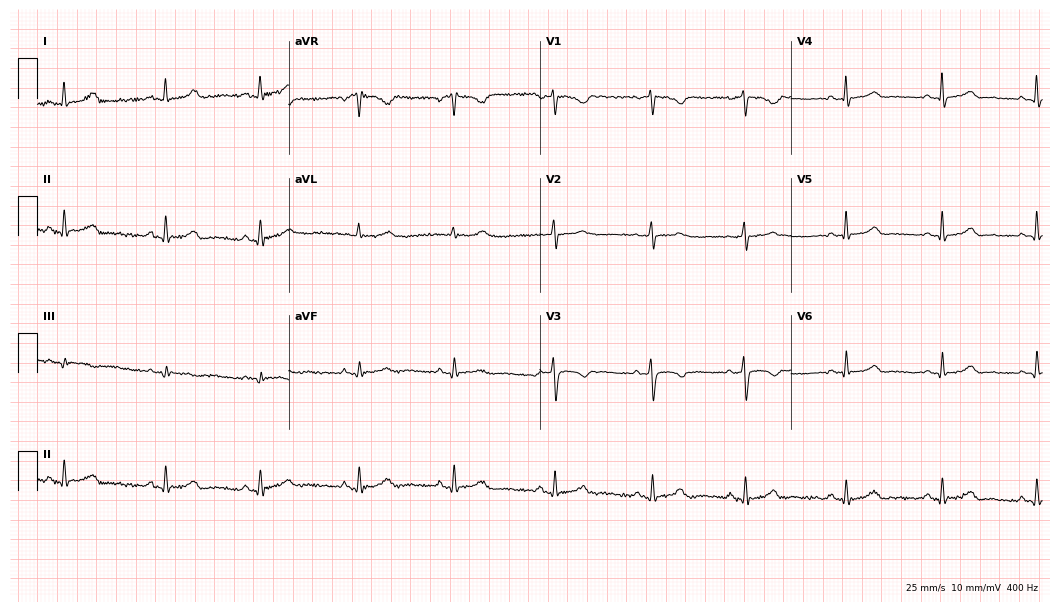
Resting 12-lead electrocardiogram. Patient: a female, 36 years old. None of these six findings is recorded: first-degree AV block, right bundle branch block, left bundle branch block, sinus bradycardia, atrial fibrillation, sinus tachycardia.